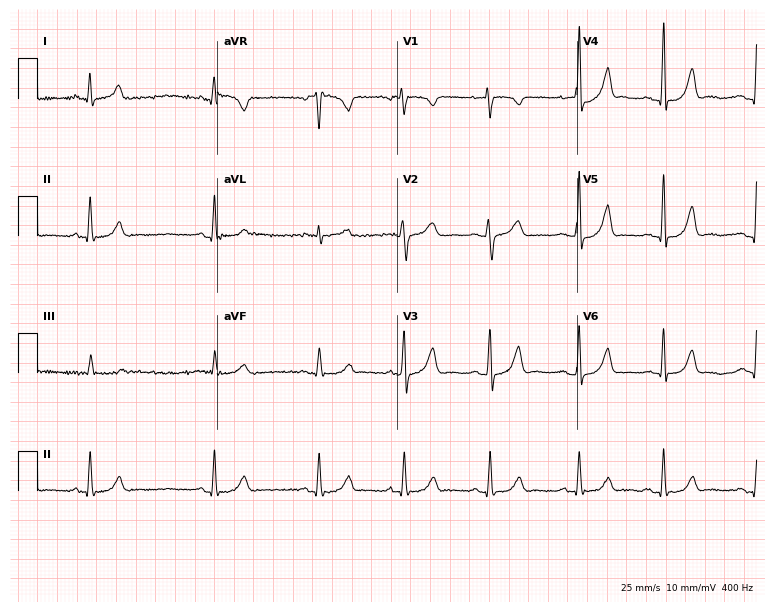
12-lead ECG from a female, 31 years old. No first-degree AV block, right bundle branch block, left bundle branch block, sinus bradycardia, atrial fibrillation or sinus tachycardia recorded for this tracing. Other findings, if any, are not listed.